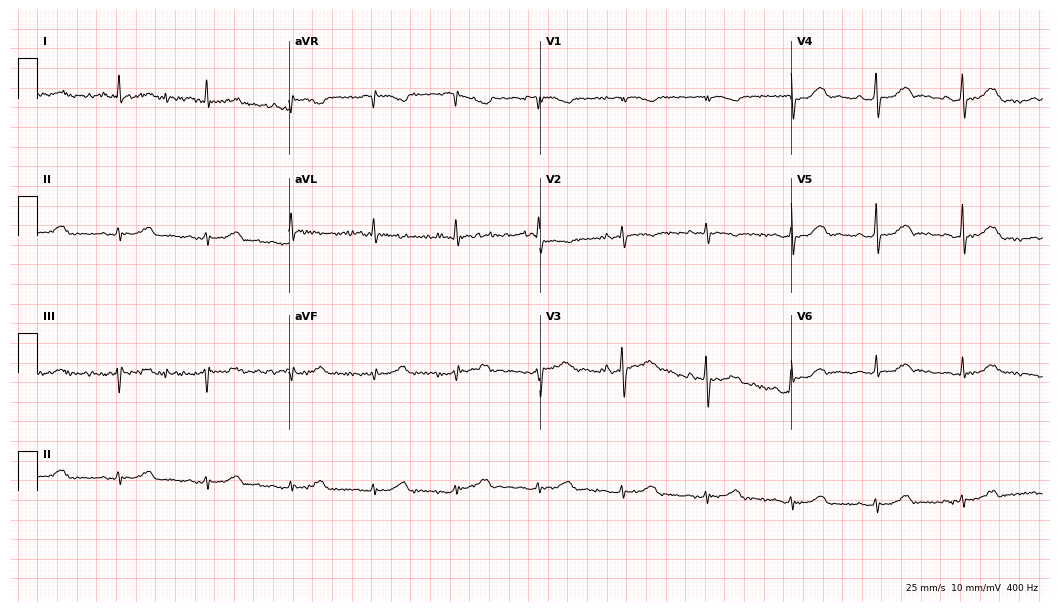
Electrocardiogram (10.2-second recording at 400 Hz), a 75-year-old female patient. Of the six screened findings (first-degree AV block, right bundle branch block (RBBB), left bundle branch block (LBBB), sinus bradycardia, atrial fibrillation (AF), sinus tachycardia), none is recorded. Findings outside these six are not listed.